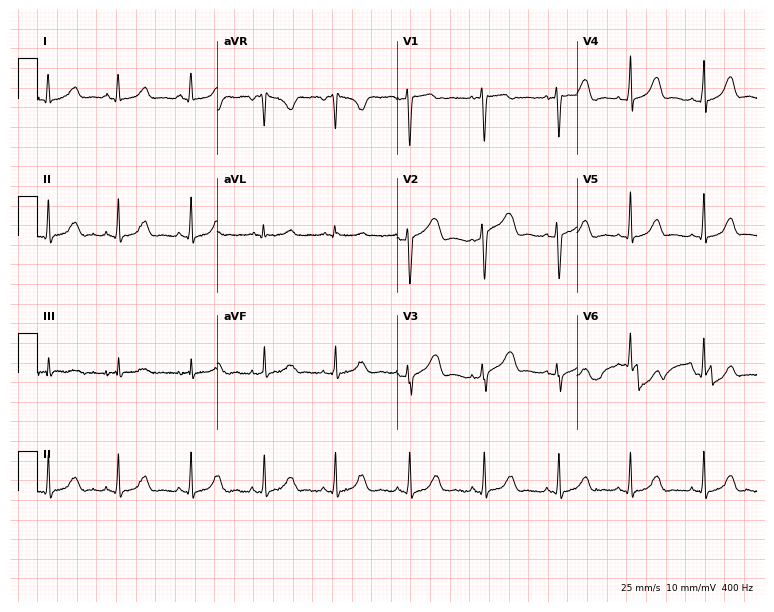
Resting 12-lead electrocardiogram. Patient: a 37-year-old female. Read as a normal ECG.